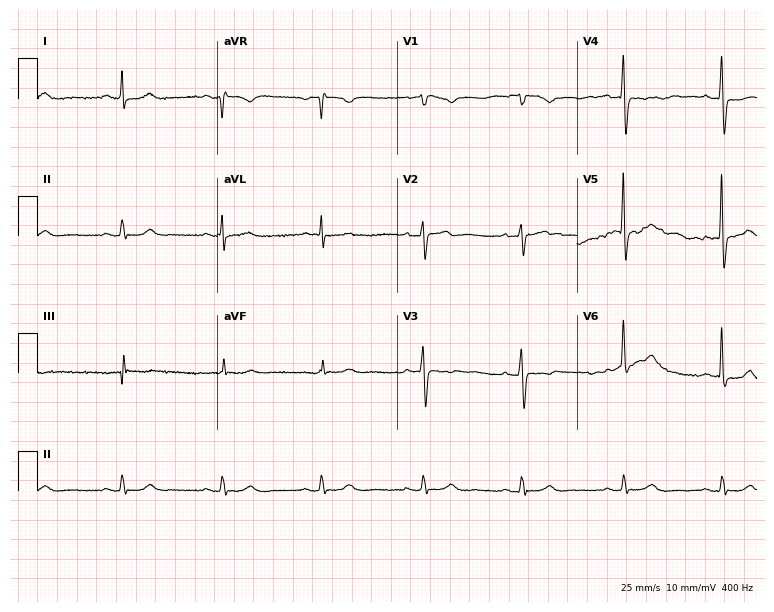
Resting 12-lead electrocardiogram (7.3-second recording at 400 Hz). Patient: a man, 73 years old. None of these six findings is recorded: first-degree AV block, right bundle branch block, left bundle branch block, sinus bradycardia, atrial fibrillation, sinus tachycardia.